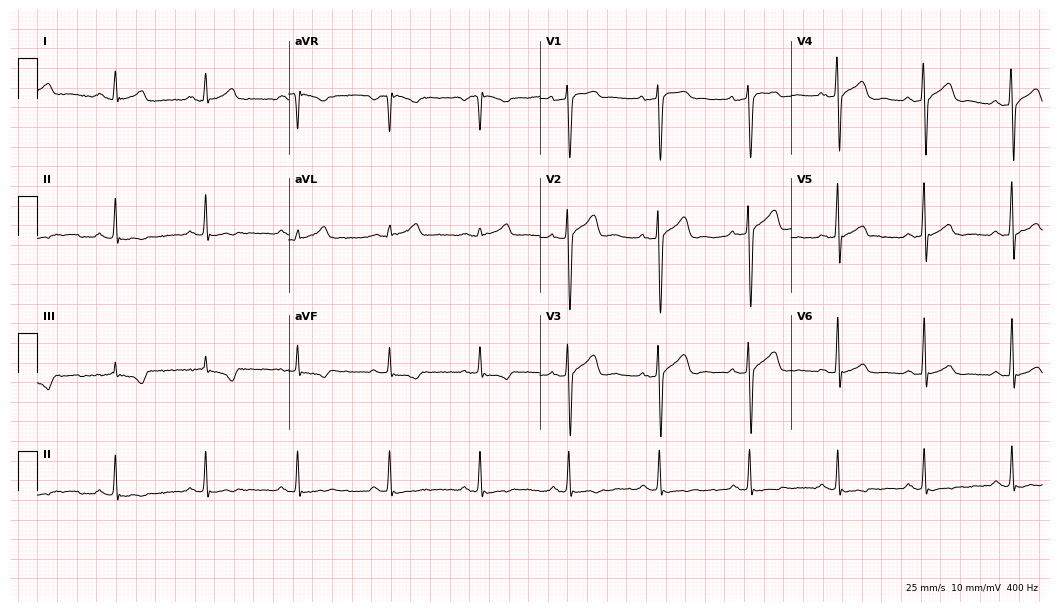
12-lead ECG (10.2-second recording at 400 Hz) from a male, 40 years old. Screened for six findings — first-degree AV block, right bundle branch block, left bundle branch block, sinus bradycardia, atrial fibrillation, sinus tachycardia — none is recorded. Other findings, if any, are not listed.